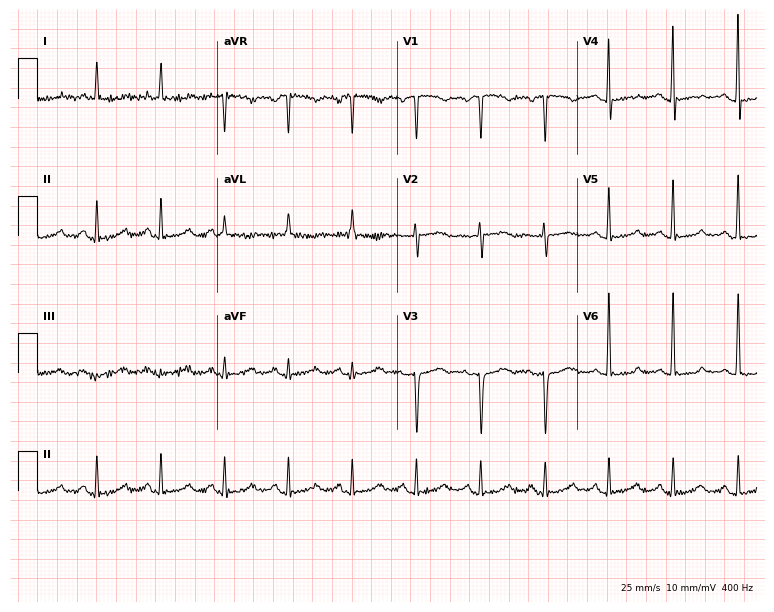
ECG (7.3-second recording at 400 Hz) — a 71-year-old woman. Screened for six findings — first-degree AV block, right bundle branch block, left bundle branch block, sinus bradycardia, atrial fibrillation, sinus tachycardia — none is recorded.